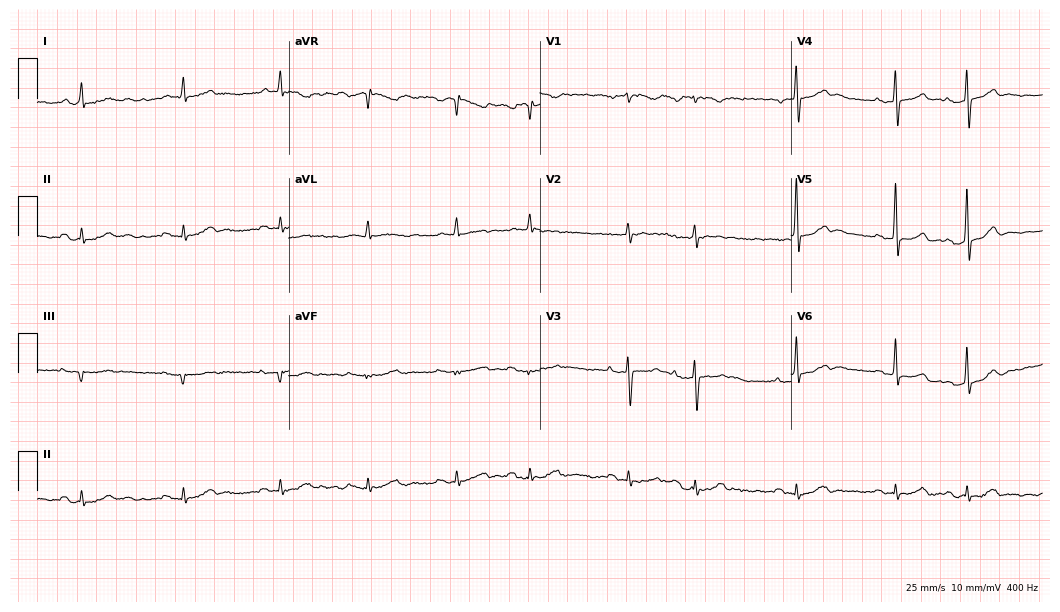
Electrocardiogram (10.2-second recording at 400 Hz), a man, 82 years old. Overall reading on record: normal ECG.